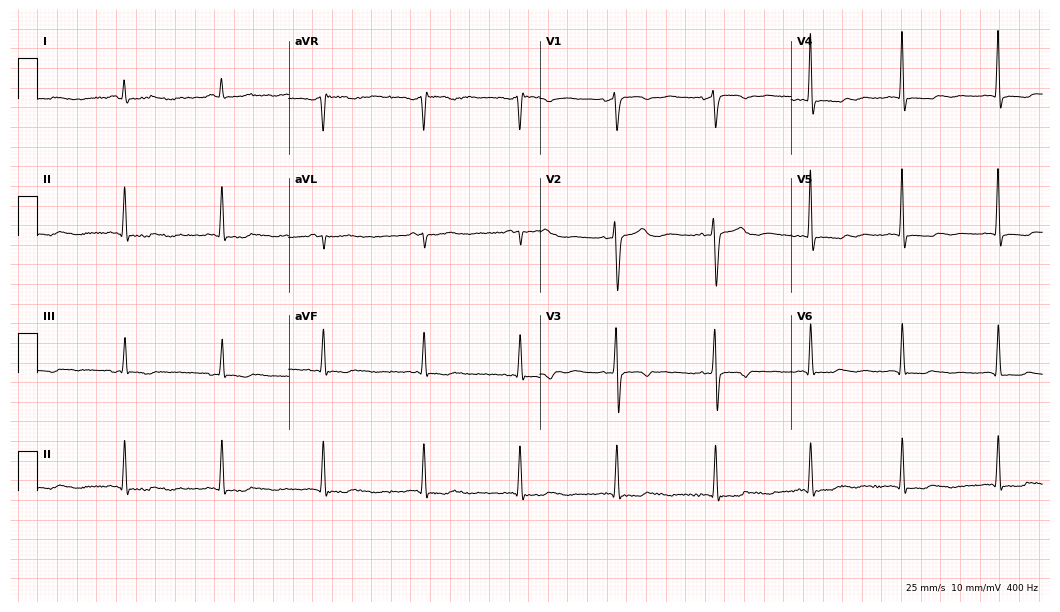
12-lead ECG from a 67-year-old female patient (10.2-second recording at 400 Hz). No first-degree AV block, right bundle branch block, left bundle branch block, sinus bradycardia, atrial fibrillation or sinus tachycardia recorded for this tracing.